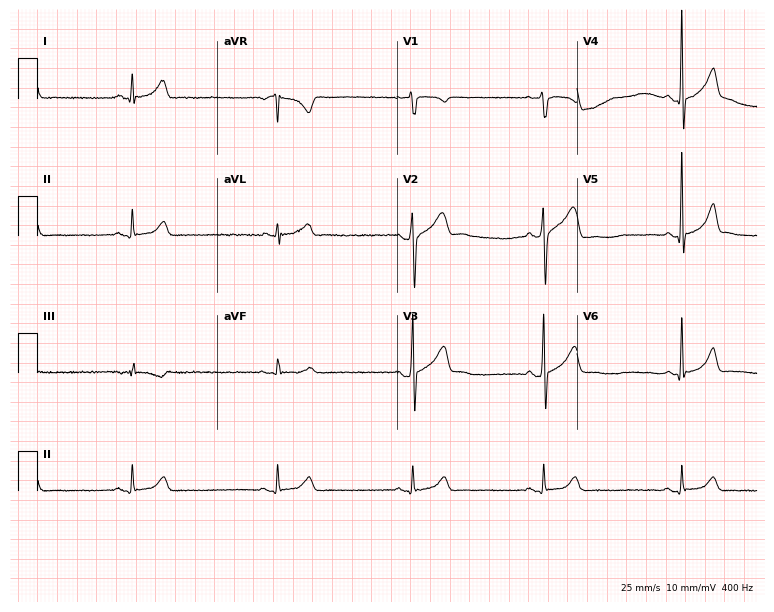
12-lead ECG (7.3-second recording at 400 Hz) from a man, 36 years old. Screened for six findings — first-degree AV block, right bundle branch block, left bundle branch block, sinus bradycardia, atrial fibrillation, sinus tachycardia — none is recorded. Findings outside these six are not listed.